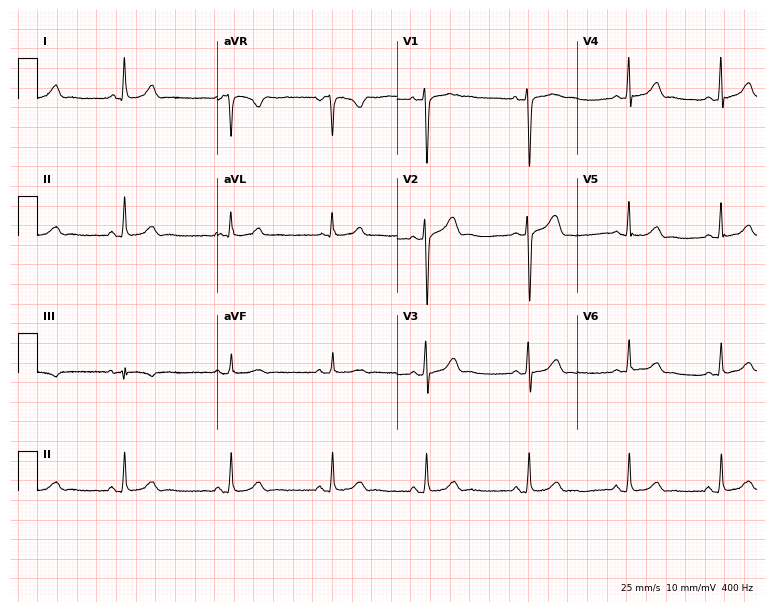
12-lead ECG (7.3-second recording at 400 Hz) from a 25-year-old woman. Labelled as a normal ECG.